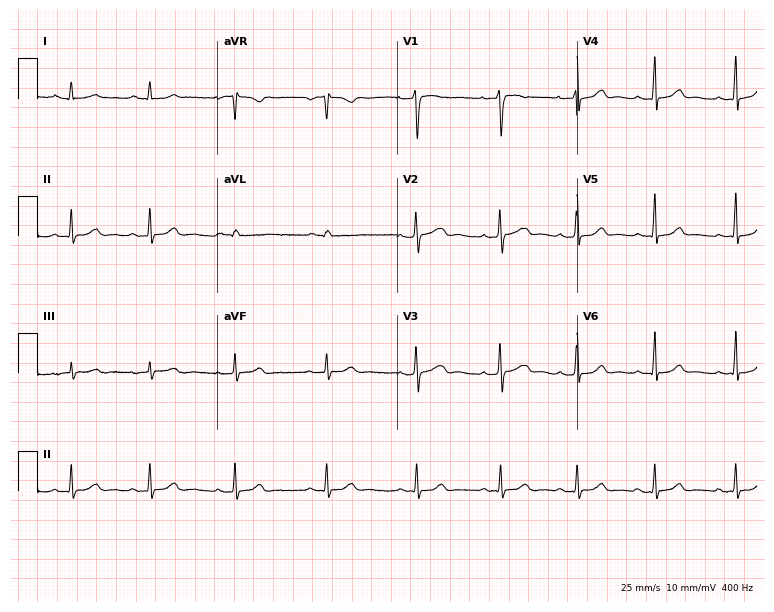
Standard 12-lead ECG recorded from a female patient, 29 years old. None of these six findings is recorded: first-degree AV block, right bundle branch block (RBBB), left bundle branch block (LBBB), sinus bradycardia, atrial fibrillation (AF), sinus tachycardia.